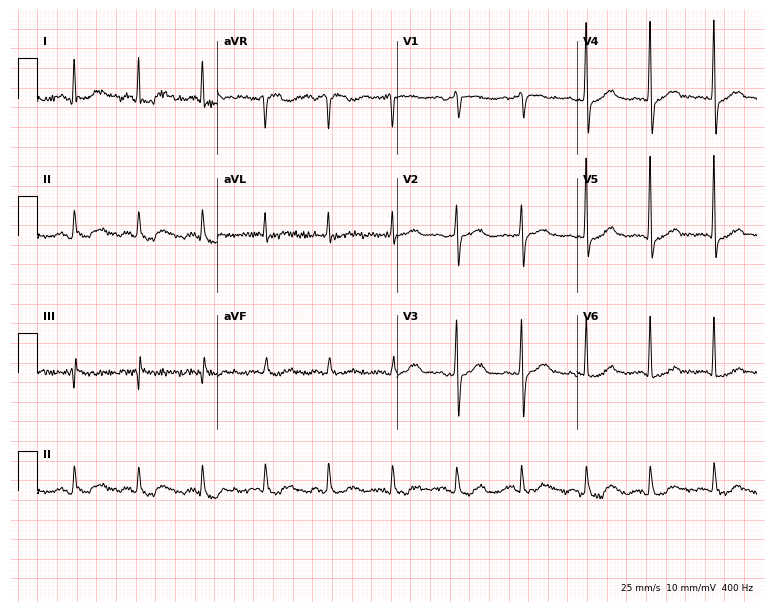
12-lead ECG from a female patient, 76 years old (7.3-second recording at 400 Hz). Recorded interpretation: within normal limits.